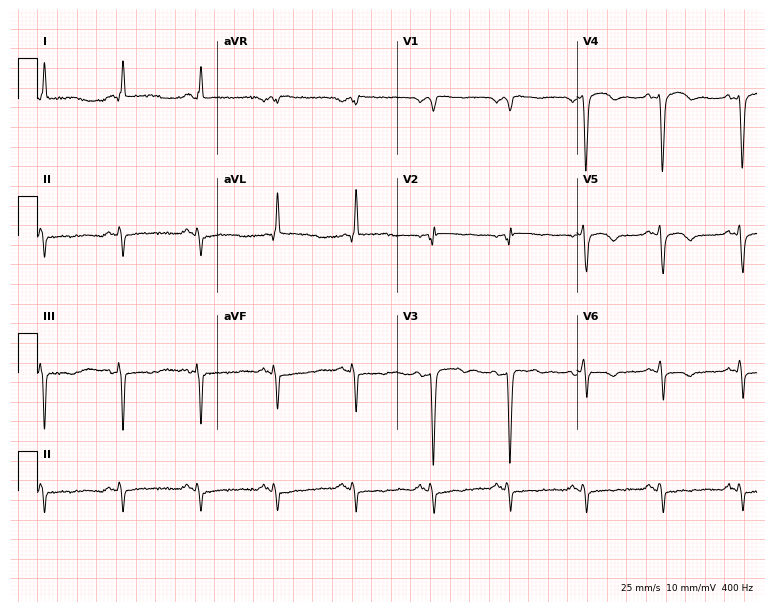
ECG — a 59-year-old male patient. Screened for six findings — first-degree AV block, right bundle branch block, left bundle branch block, sinus bradycardia, atrial fibrillation, sinus tachycardia — none is recorded.